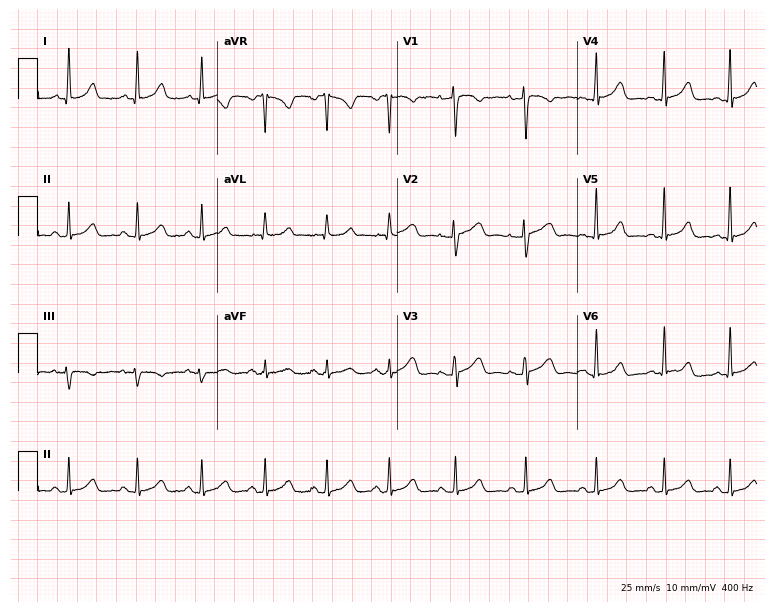
12-lead ECG (7.3-second recording at 400 Hz) from a 34-year-old female patient. Screened for six findings — first-degree AV block, right bundle branch block, left bundle branch block, sinus bradycardia, atrial fibrillation, sinus tachycardia — none is recorded.